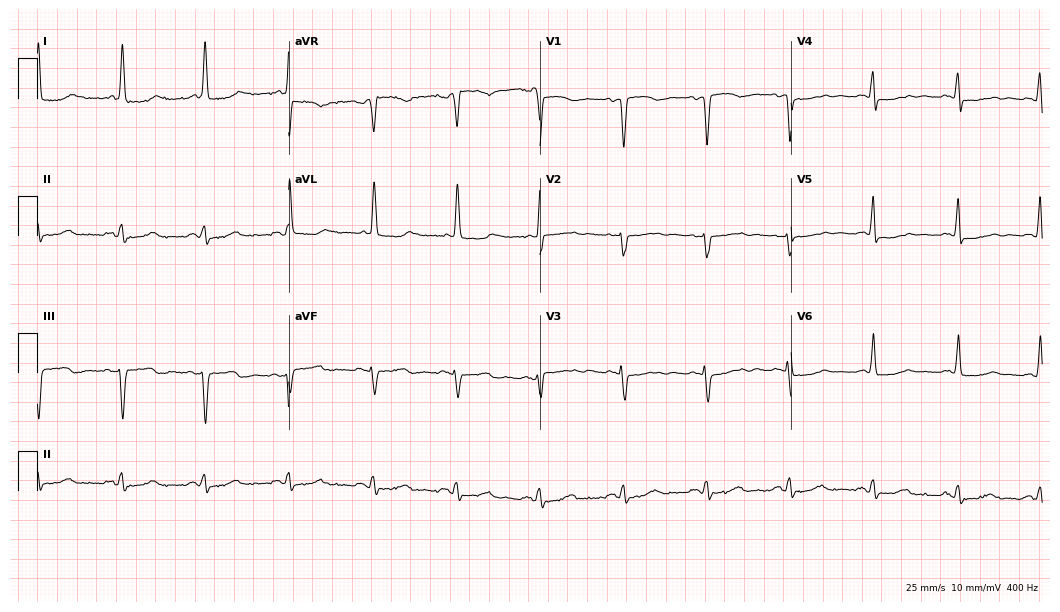
12-lead ECG from a 74-year-old woman. Screened for six findings — first-degree AV block, right bundle branch block (RBBB), left bundle branch block (LBBB), sinus bradycardia, atrial fibrillation (AF), sinus tachycardia — none is recorded.